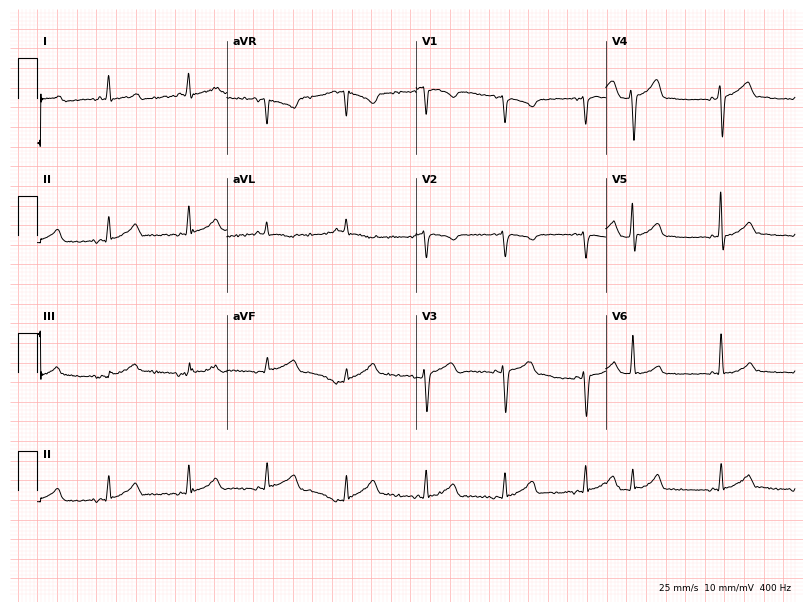
12-lead ECG (7.7-second recording at 400 Hz) from a 66-year-old male patient. Screened for six findings — first-degree AV block, right bundle branch block, left bundle branch block, sinus bradycardia, atrial fibrillation, sinus tachycardia — none is recorded.